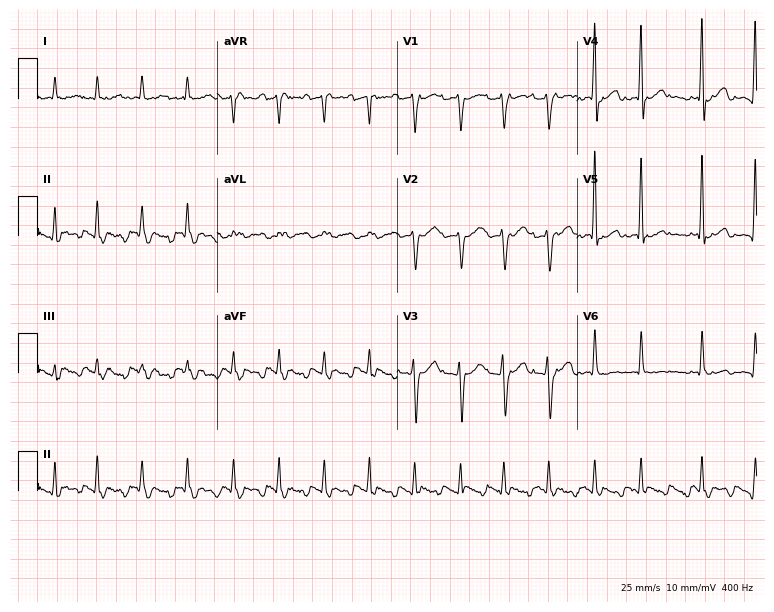
12-lead ECG from a 57-year-old male patient. No first-degree AV block, right bundle branch block (RBBB), left bundle branch block (LBBB), sinus bradycardia, atrial fibrillation (AF) or sinus tachycardia recorded for this tracing.